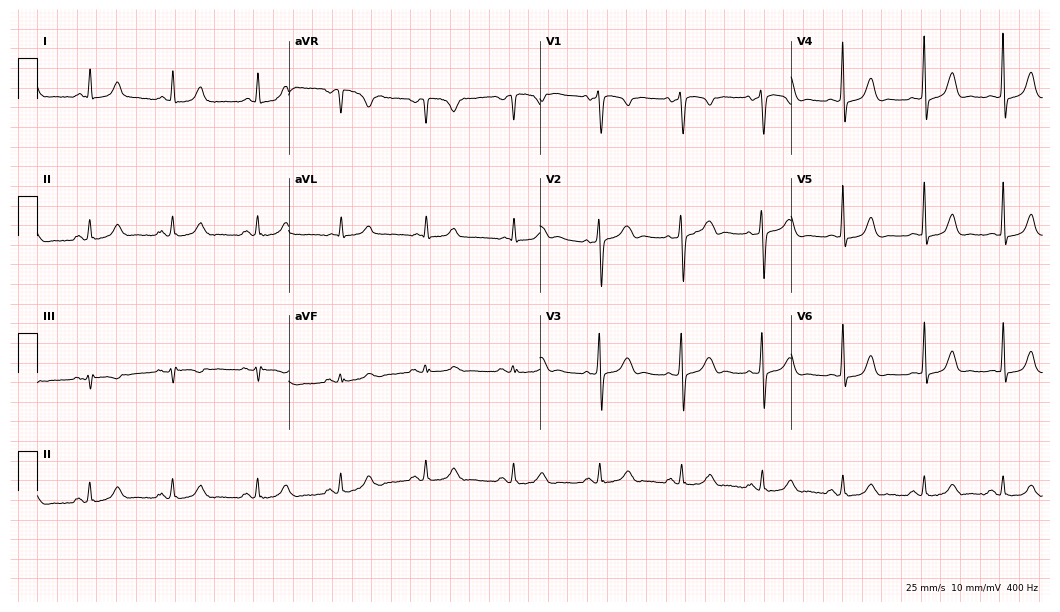
12-lead ECG from a 50-year-old female patient. Recorded interpretation: within normal limits.